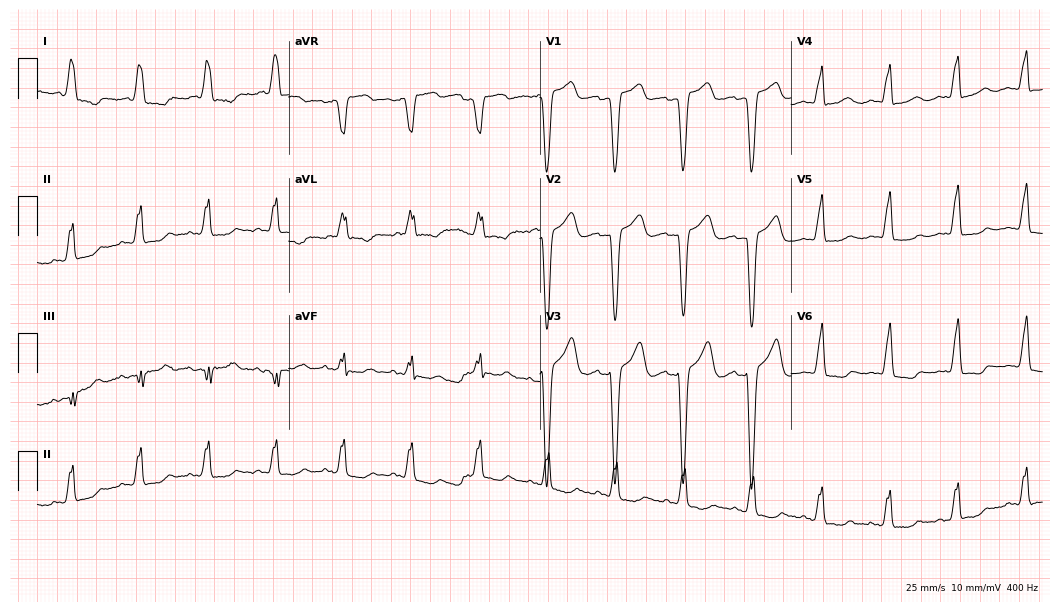
12-lead ECG (10.2-second recording at 400 Hz) from a 77-year-old female patient. Findings include left bundle branch block (LBBB).